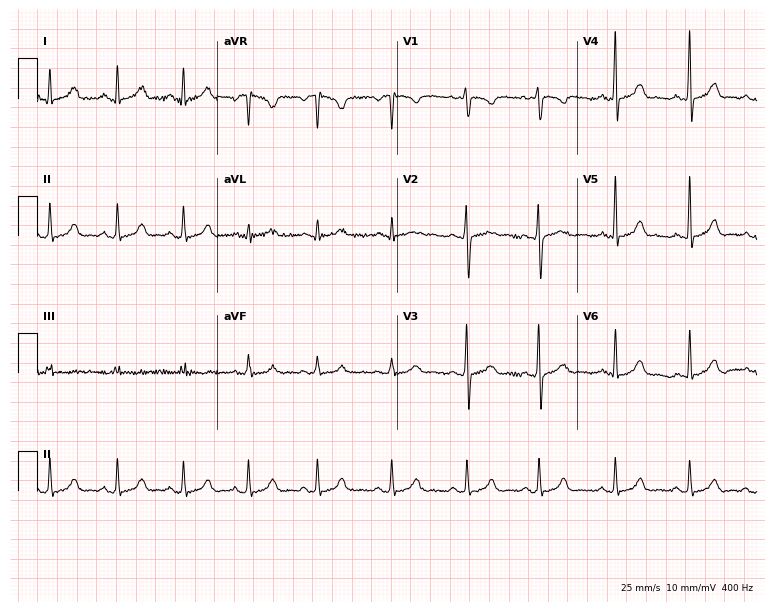
ECG — a 25-year-old woman. Labelled as a normal ECG.